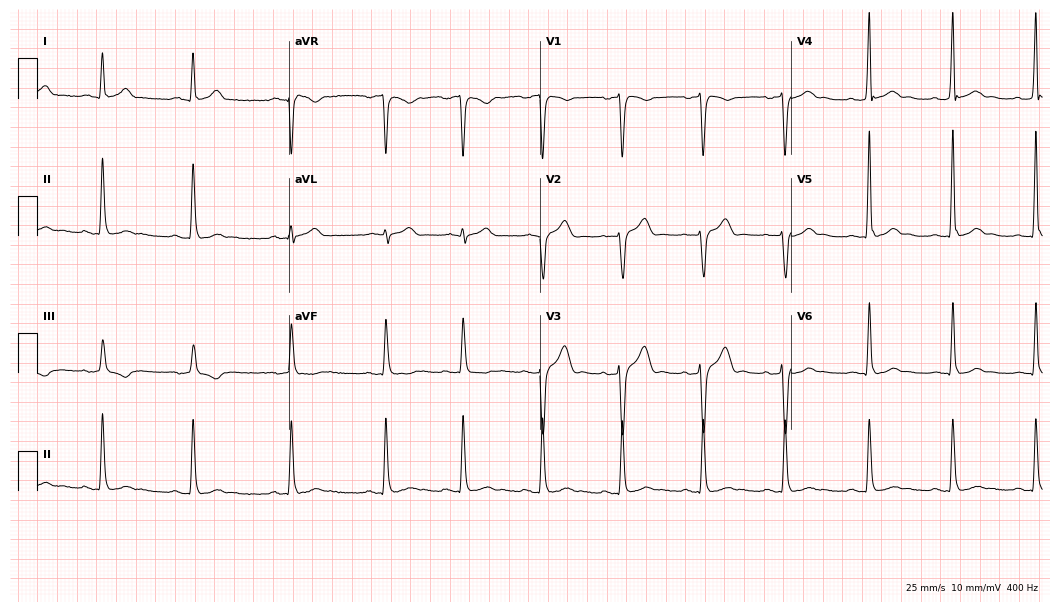
12-lead ECG from a 25-year-old male patient. Screened for six findings — first-degree AV block, right bundle branch block, left bundle branch block, sinus bradycardia, atrial fibrillation, sinus tachycardia — none is recorded.